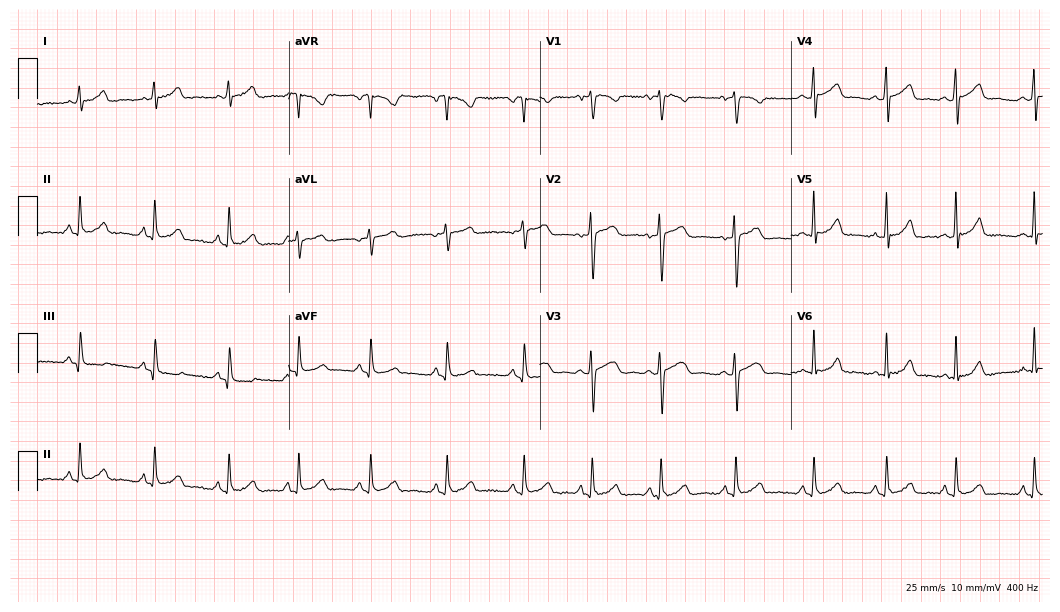
12-lead ECG from a 21-year-old woman (10.2-second recording at 400 Hz). Recorded interpretation: within normal limits.